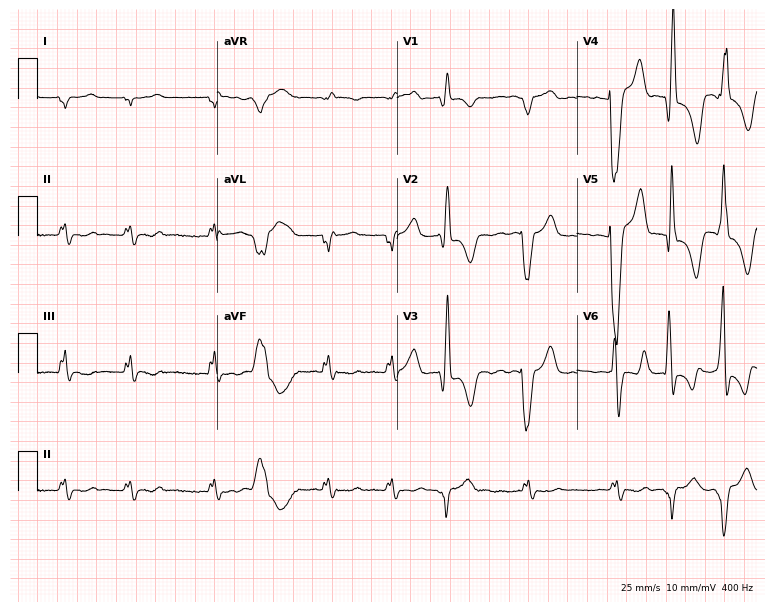
Standard 12-lead ECG recorded from a male, 83 years old (7.3-second recording at 400 Hz). The tracing shows left bundle branch block (LBBB), atrial fibrillation (AF).